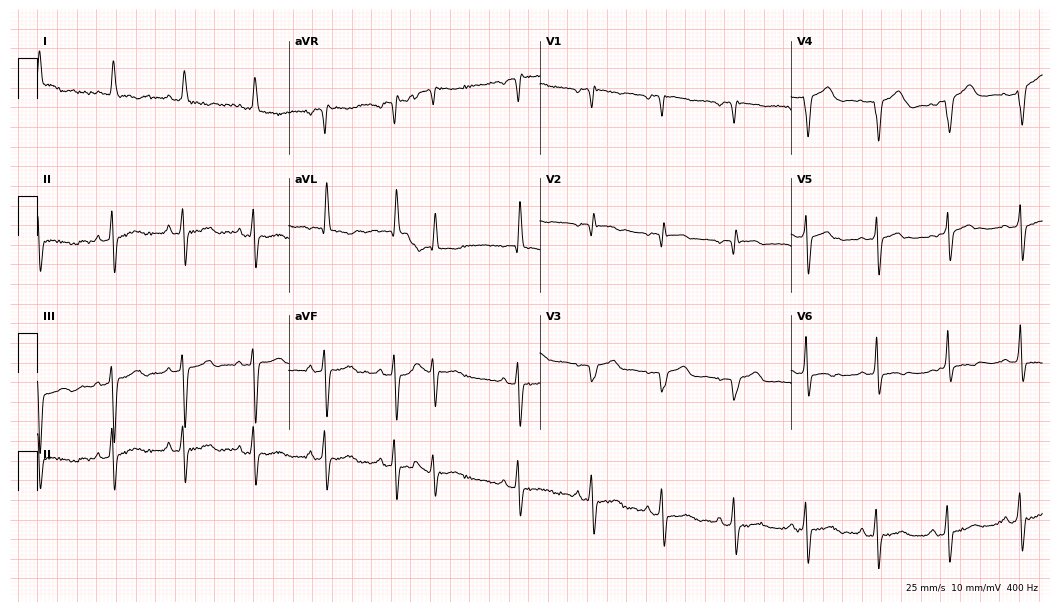
ECG (10.2-second recording at 400 Hz) — a female, 76 years old. Screened for six findings — first-degree AV block, right bundle branch block, left bundle branch block, sinus bradycardia, atrial fibrillation, sinus tachycardia — none is recorded. Findings outside these six are not listed.